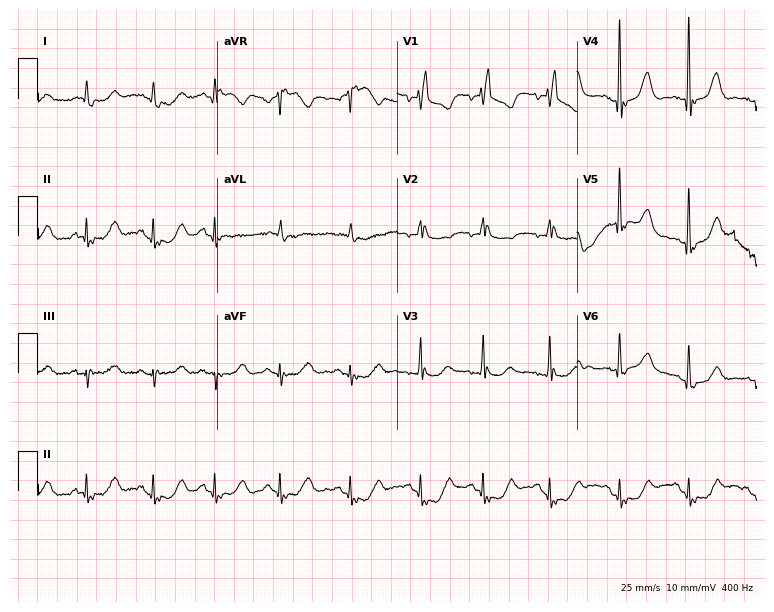
Resting 12-lead electrocardiogram. Patient: an 82-year-old woman. The tracing shows right bundle branch block (RBBB).